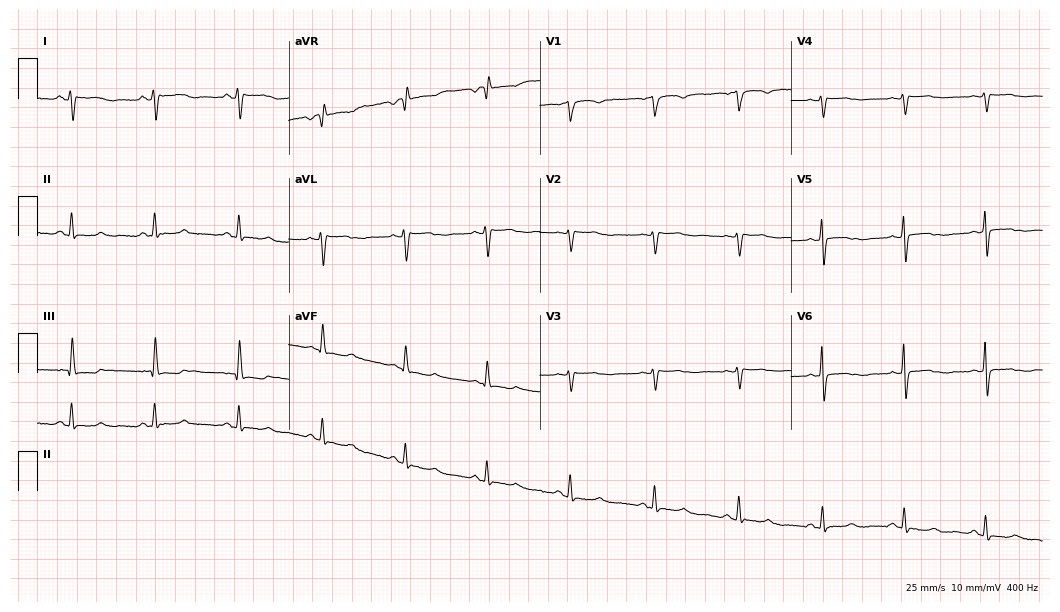
Resting 12-lead electrocardiogram. Patient: a female, 57 years old. None of these six findings is recorded: first-degree AV block, right bundle branch block, left bundle branch block, sinus bradycardia, atrial fibrillation, sinus tachycardia. Only these six findings were labelled.